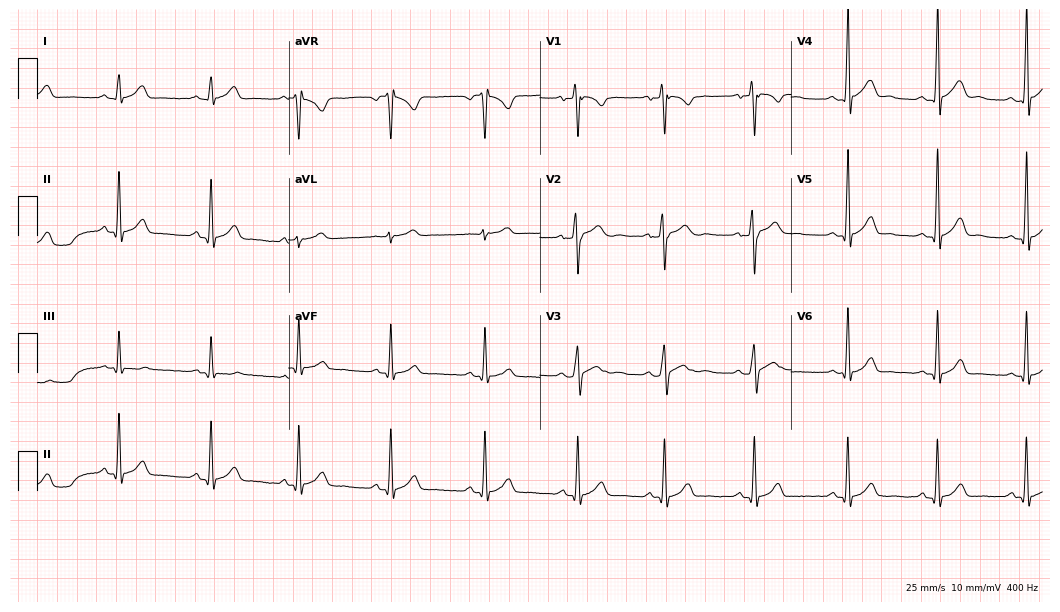
12-lead ECG from a 20-year-old male (10.2-second recording at 400 Hz). Recorded interpretation: within normal limits.